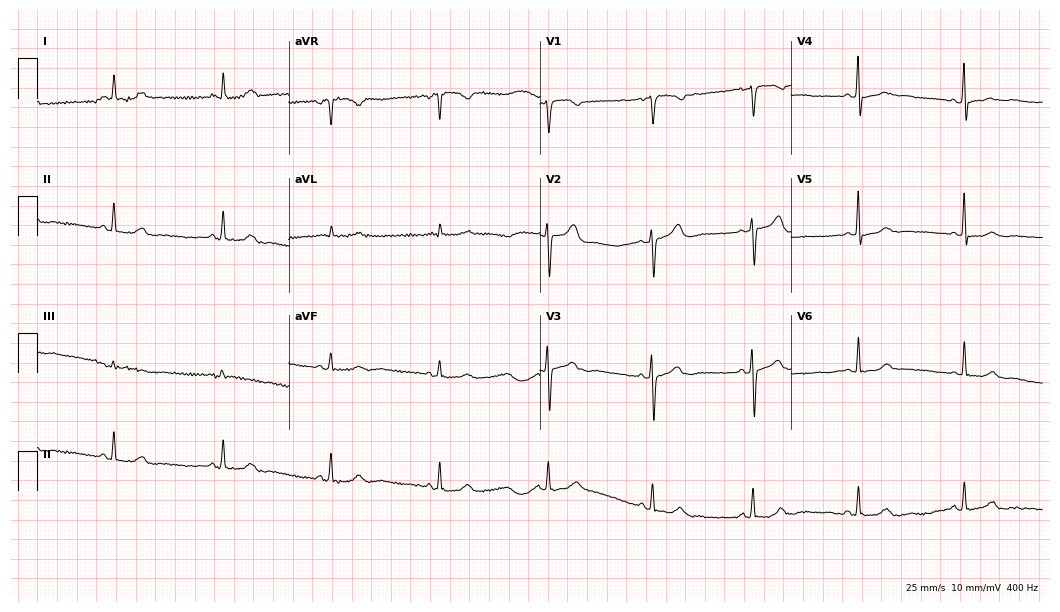
12-lead ECG (10.2-second recording at 400 Hz) from a 43-year-old woman. Screened for six findings — first-degree AV block, right bundle branch block, left bundle branch block, sinus bradycardia, atrial fibrillation, sinus tachycardia — none is recorded.